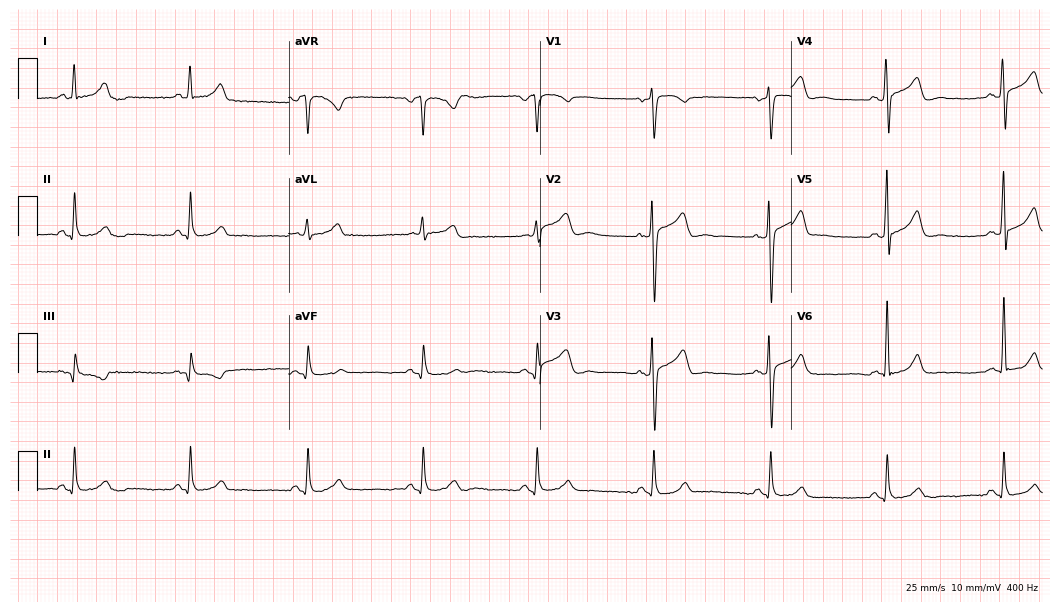
Electrocardiogram, a man, 66 years old. Overall reading on record: normal ECG.